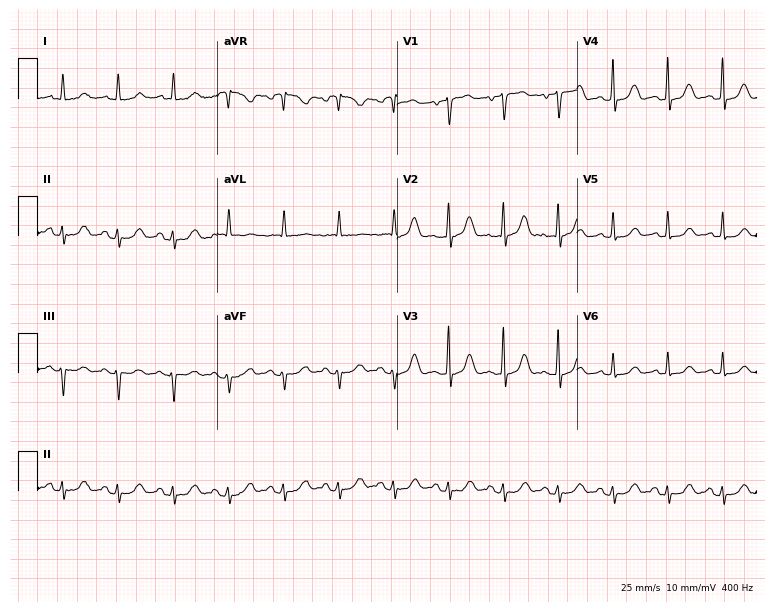
Electrocardiogram, a female patient, 83 years old. Of the six screened findings (first-degree AV block, right bundle branch block, left bundle branch block, sinus bradycardia, atrial fibrillation, sinus tachycardia), none is recorded.